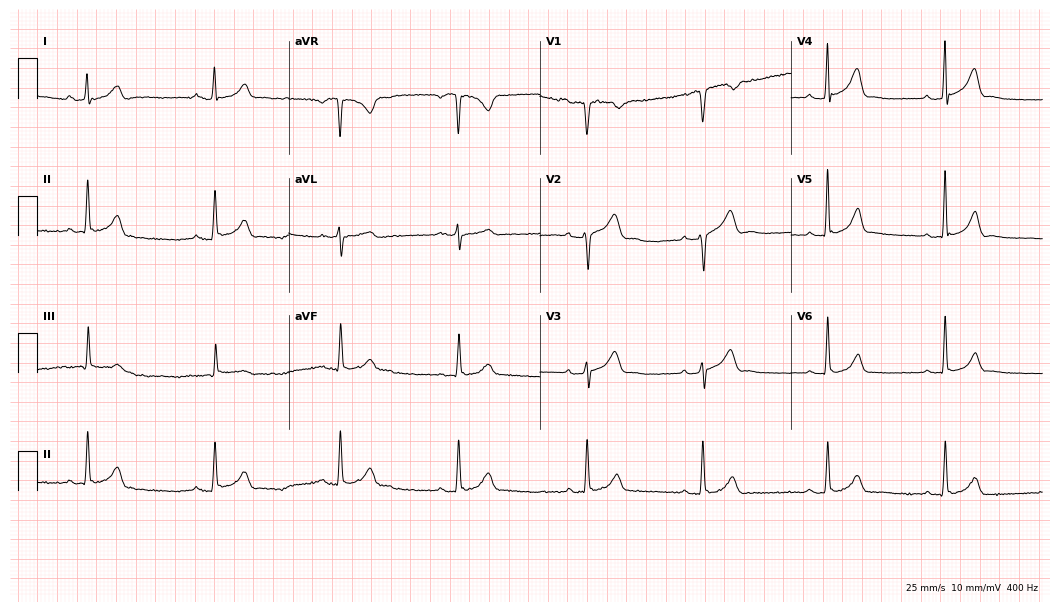
ECG — a 34-year-old male patient. Screened for six findings — first-degree AV block, right bundle branch block, left bundle branch block, sinus bradycardia, atrial fibrillation, sinus tachycardia — none is recorded. Only these six findings were labelled.